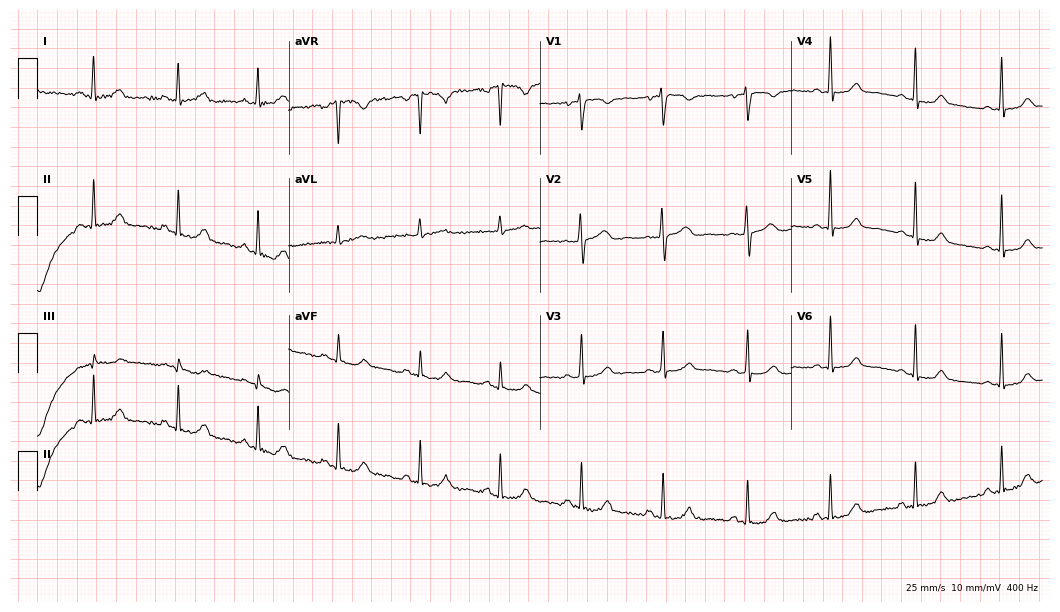
Electrocardiogram (10.2-second recording at 400 Hz), a 28-year-old woman. Overall reading on record: normal ECG.